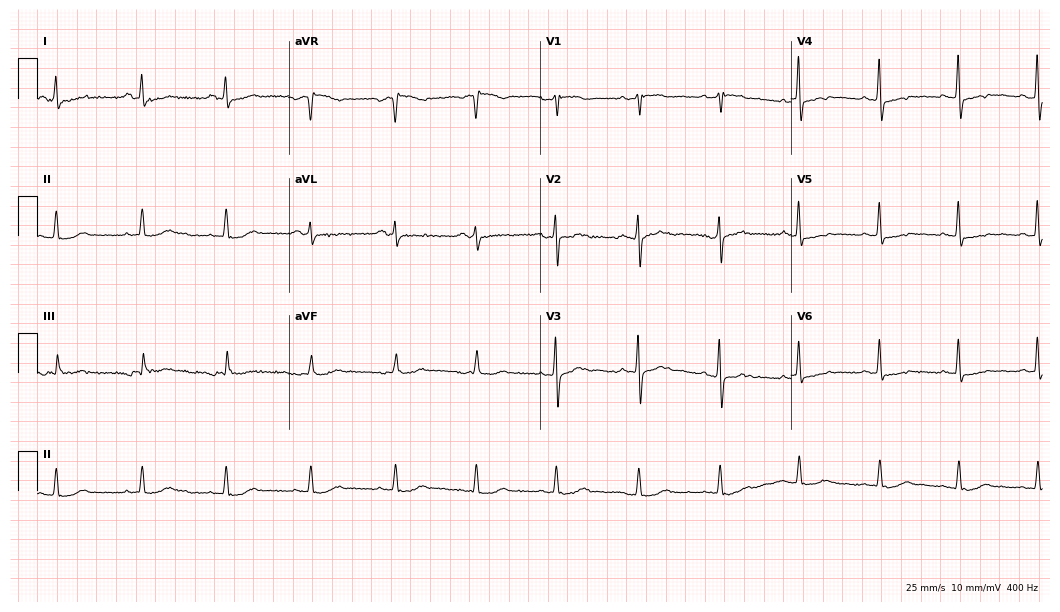
Resting 12-lead electrocardiogram. Patient: a male, 67 years old. None of these six findings is recorded: first-degree AV block, right bundle branch block (RBBB), left bundle branch block (LBBB), sinus bradycardia, atrial fibrillation (AF), sinus tachycardia.